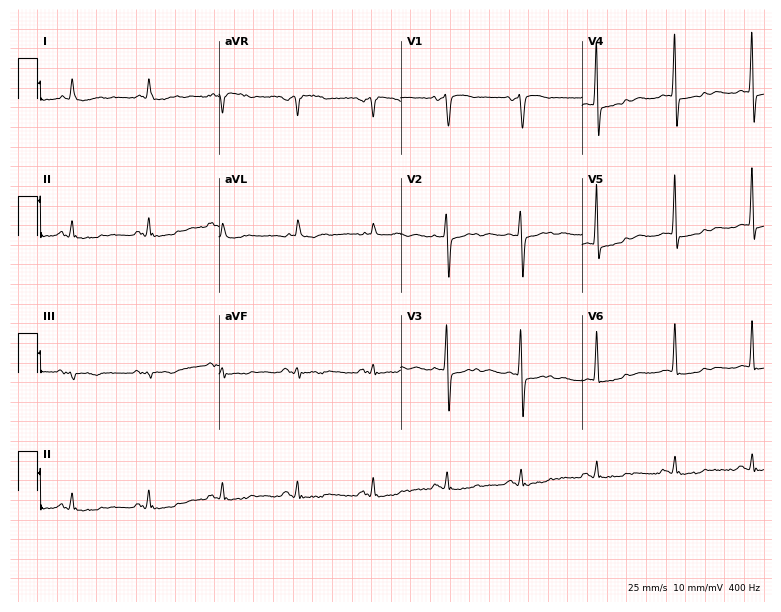
12-lead ECG from a male patient, 72 years old. Screened for six findings — first-degree AV block, right bundle branch block, left bundle branch block, sinus bradycardia, atrial fibrillation, sinus tachycardia — none is recorded. Other findings, if any, are not listed.